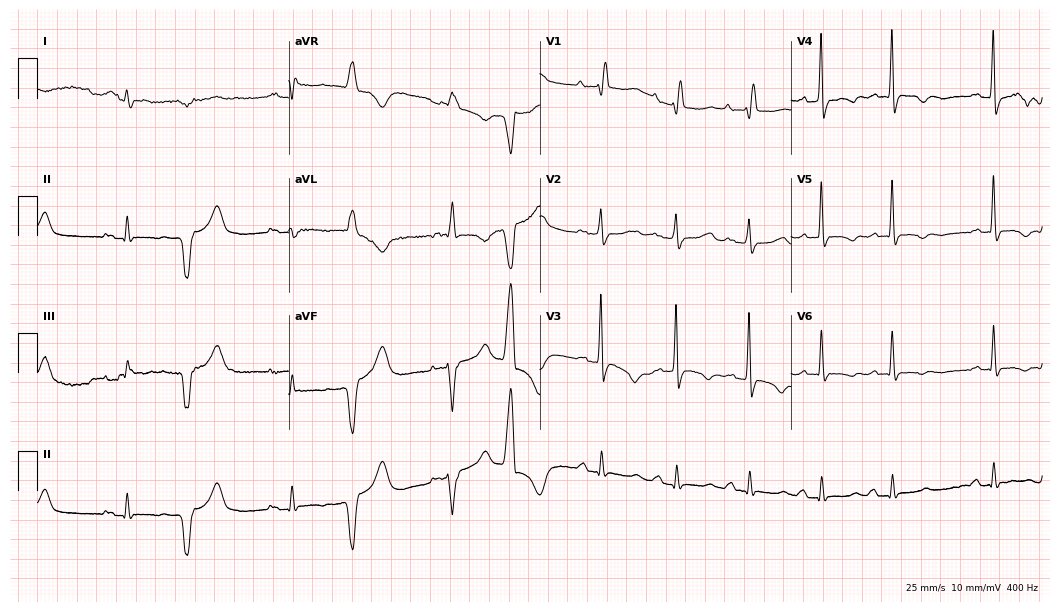
12-lead ECG from a female patient, 74 years old. No first-degree AV block, right bundle branch block (RBBB), left bundle branch block (LBBB), sinus bradycardia, atrial fibrillation (AF) or sinus tachycardia recorded for this tracing.